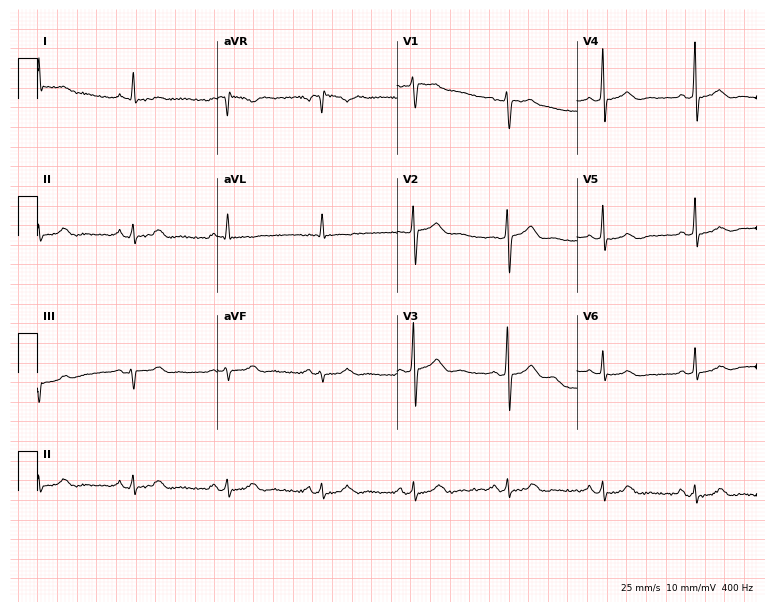
Electrocardiogram (7.3-second recording at 400 Hz), a 60-year-old male patient. Of the six screened findings (first-degree AV block, right bundle branch block, left bundle branch block, sinus bradycardia, atrial fibrillation, sinus tachycardia), none is recorded.